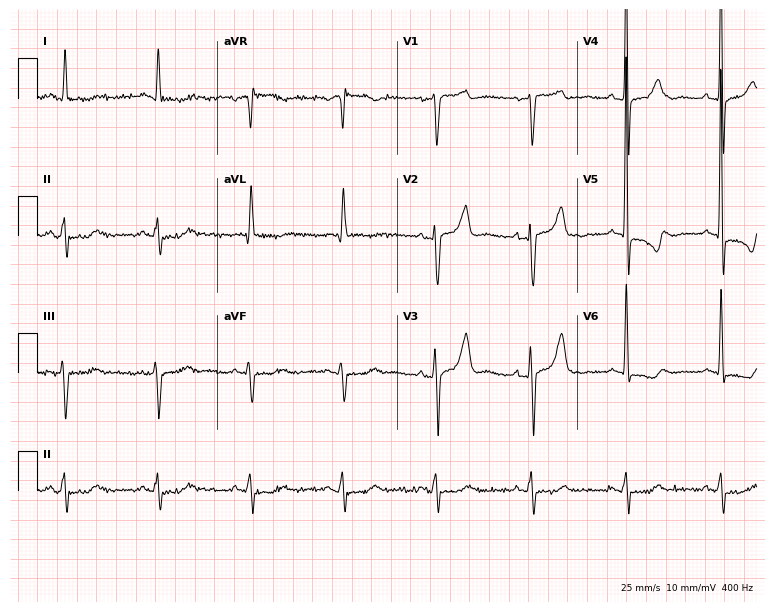
ECG — a male, 76 years old. Labelled as a normal ECG.